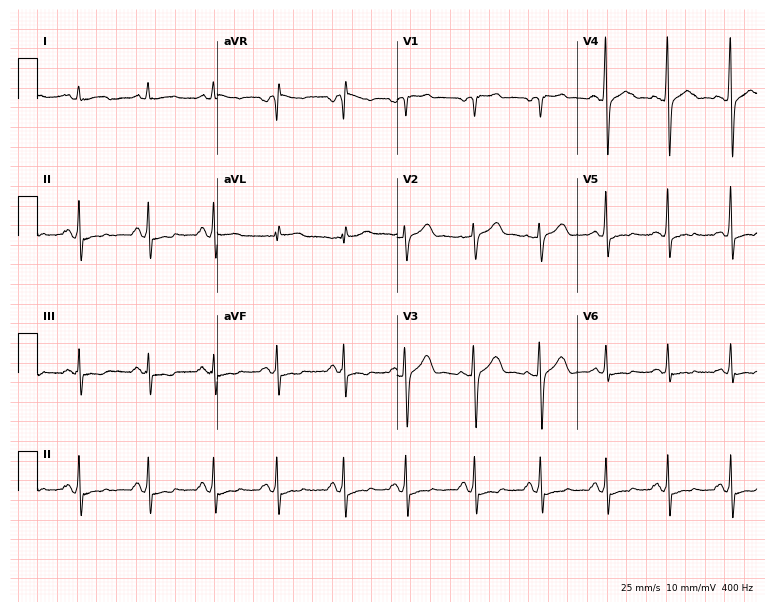
Electrocardiogram (7.3-second recording at 400 Hz), a male patient, 54 years old. Of the six screened findings (first-degree AV block, right bundle branch block (RBBB), left bundle branch block (LBBB), sinus bradycardia, atrial fibrillation (AF), sinus tachycardia), none is recorded. Other findings, if any, are not listed.